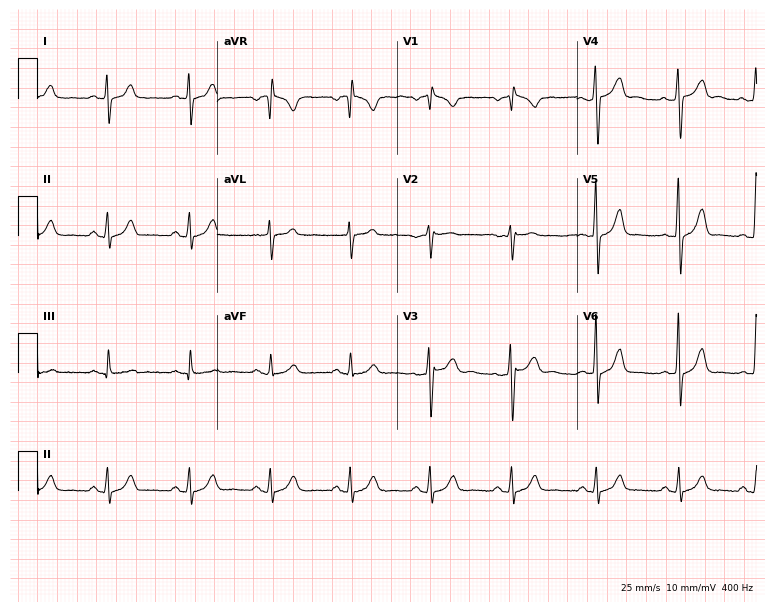
Standard 12-lead ECG recorded from a 47-year-old male patient. Read as a normal ECG.